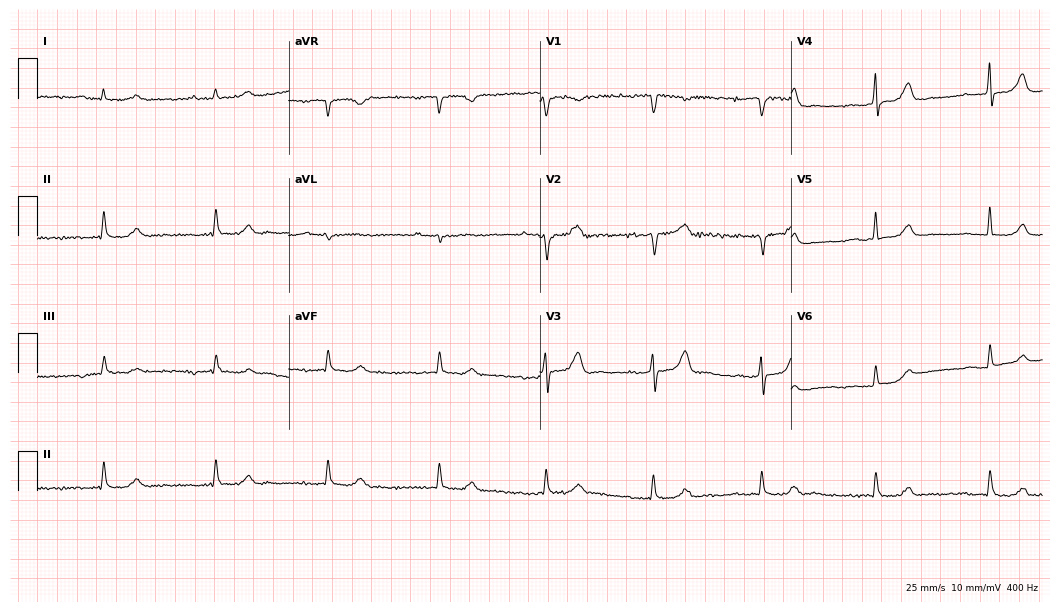
Standard 12-lead ECG recorded from a 77-year-old male. None of these six findings is recorded: first-degree AV block, right bundle branch block (RBBB), left bundle branch block (LBBB), sinus bradycardia, atrial fibrillation (AF), sinus tachycardia.